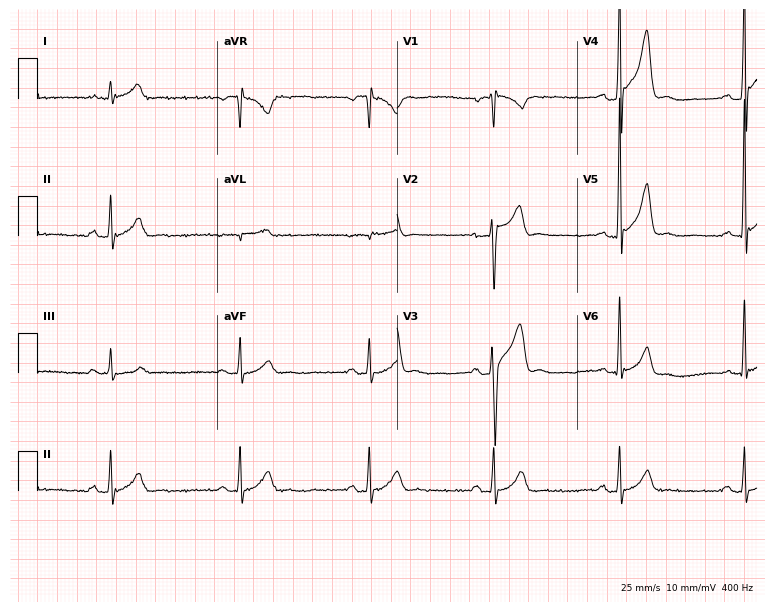
Standard 12-lead ECG recorded from a 55-year-old male. The tracing shows sinus bradycardia (a sinus rate of 50 beats per minute or less).